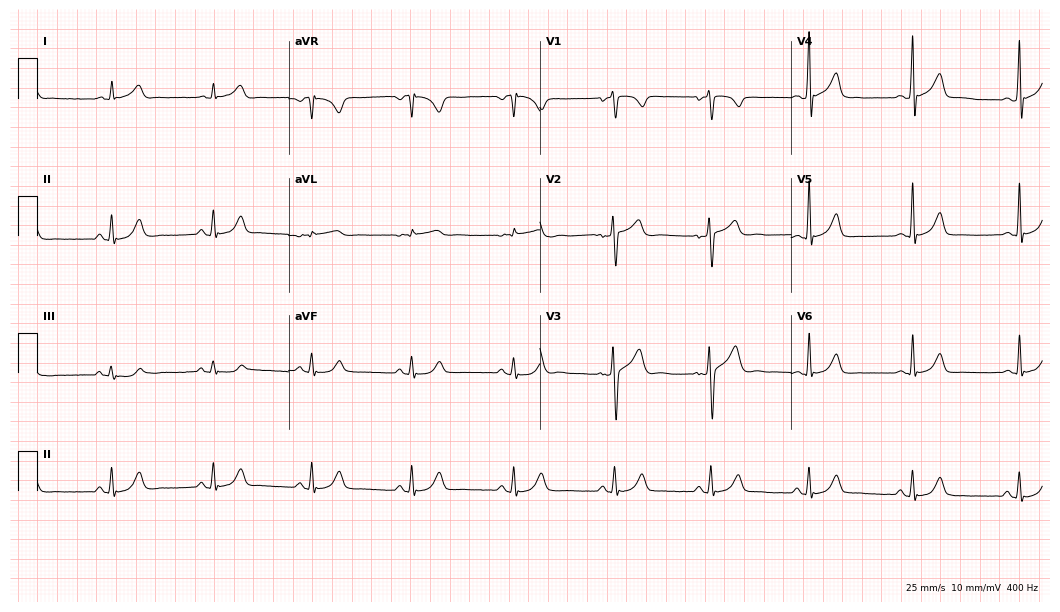
Resting 12-lead electrocardiogram (10.2-second recording at 400 Hz). Patient: a 54-year-old male. None of these six findings is recorded: first-degree AV block, right bundle branch block (RBBB), left bundle branch block (LBBB), sinus bradycardia, atrial fibrillation (AF), sinus tachycardia. Only these six findings were labelled.